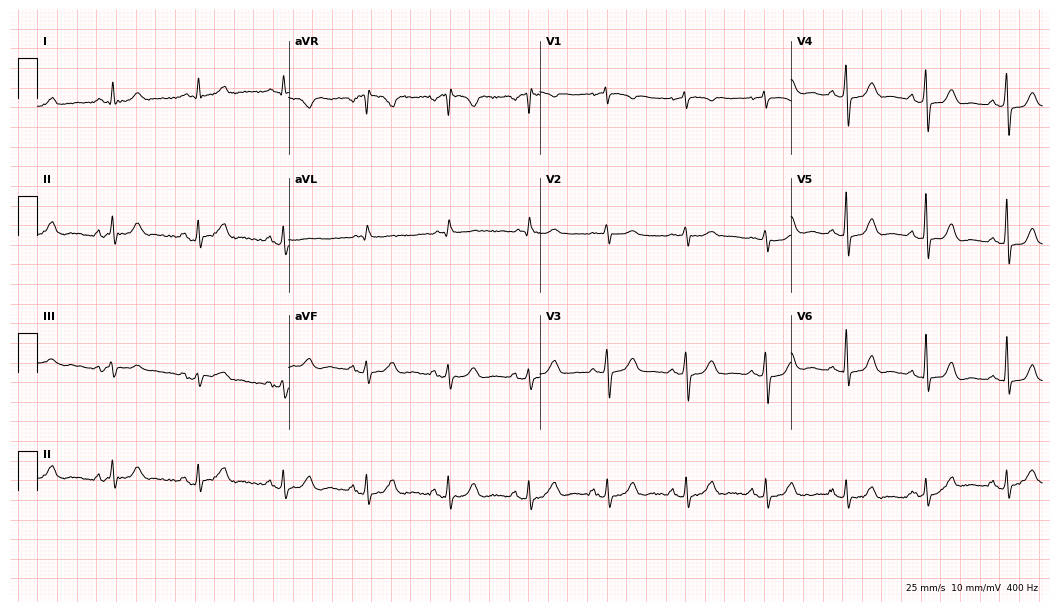
12-lead ECG from a 69-year-old female patient (10.2-second recording at 400 Hz). Recorded interpretation: within normal limits.